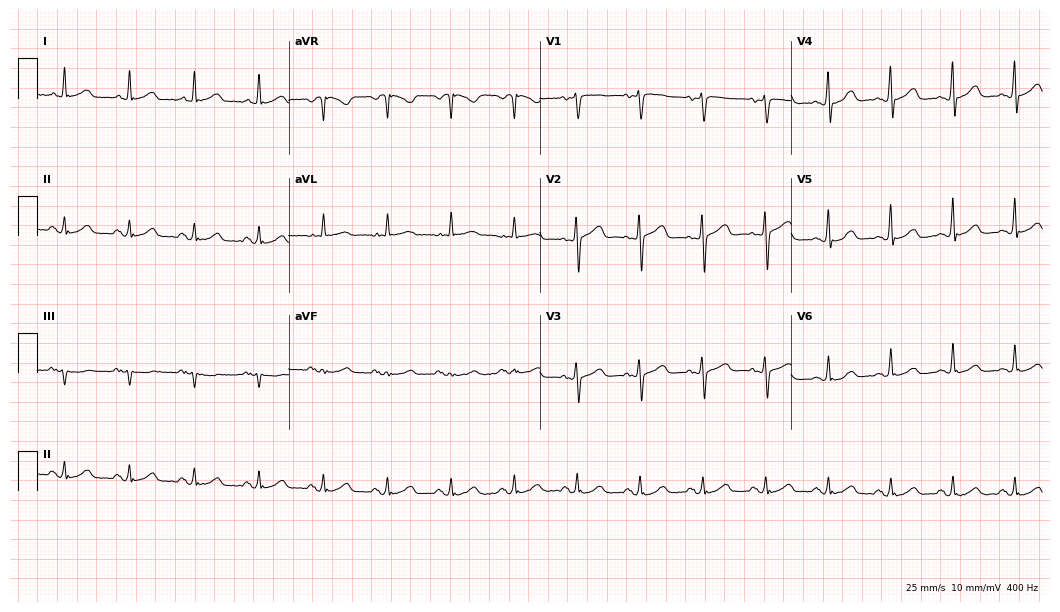
Electrocardiogram, a woman, 52 years old. Of the six screened findings (first-degree AV block, right bundle branch block (RBBB), left bundle branch block (LBBB), sinus bradycardia, atrial fibrillation (AF), sinus tachycardia), none is recorded. Only these six findings were labelled.